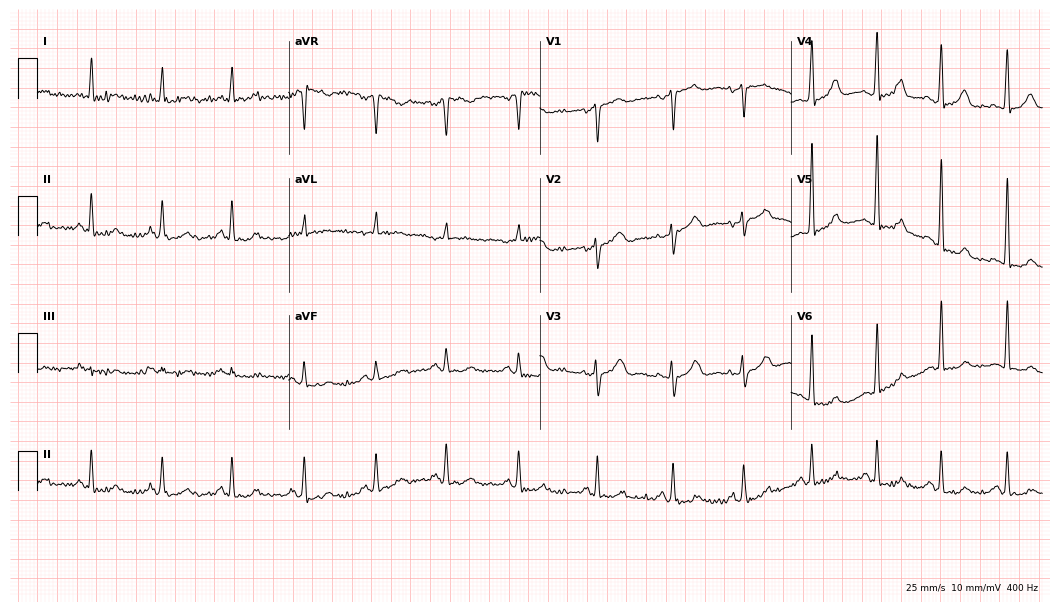
ECG — a 54-year-old female patient. Labelled as a normal ECG.